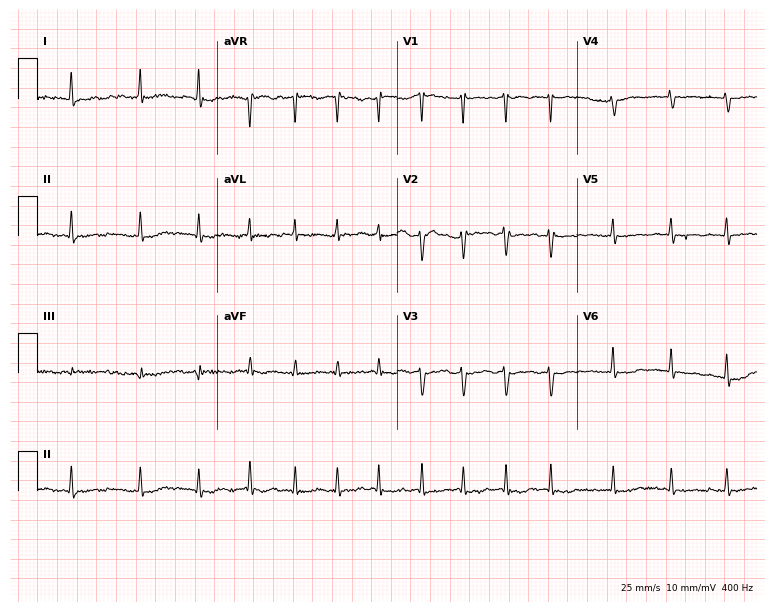
Electrocardiogram, a female, 84 years old. Interpretation includes atrial fibrillation (AF).